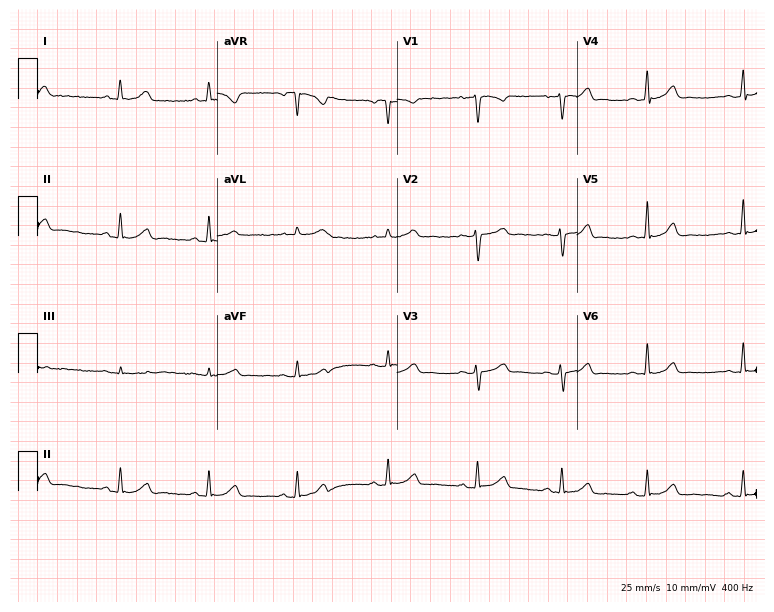
ECG (7.3-second recording at 400 Hz) — a woman, 27 years old. Screened for six findings — first-degree AV block, right bundle branch block, left bundle branch block, sinus bradycardia, atrial fibrillation, sinus tachycardia — none is recorded.